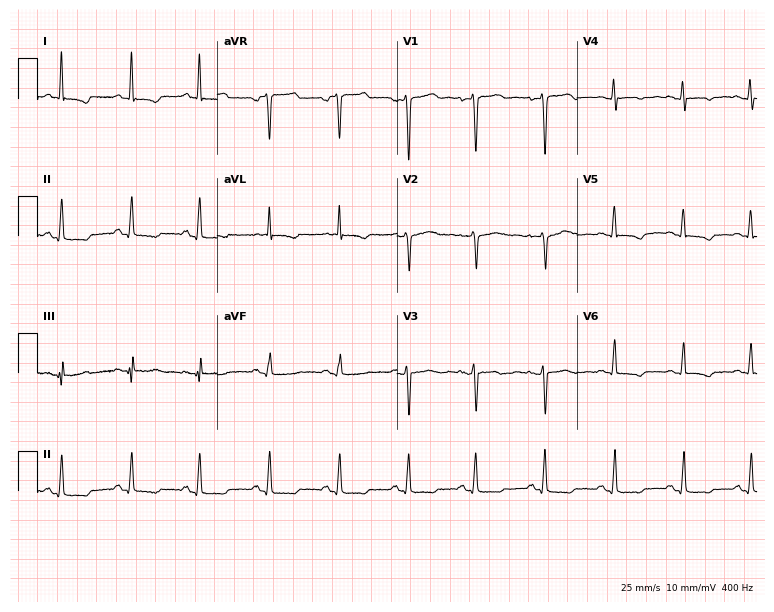
Standard 12-lead ECG recorded from a 51-year-old woman (7.3-second recording at 400 Hz). None of these six findings is recorded: first-degree AV block, right bundle branch block, left bundle branch block, sinus bradycardia, atrial fibrillation, sinus tachycardia.